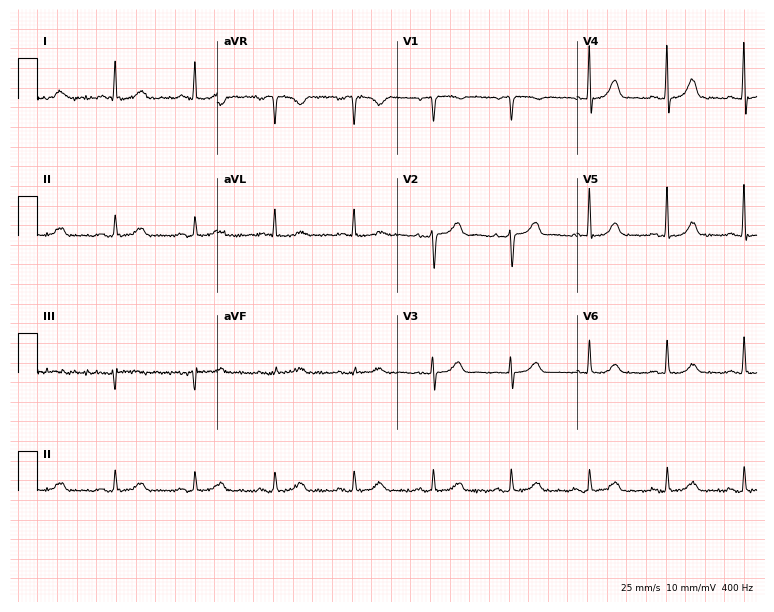
Standard 12-lead ECG recorded from a 71-year-old man (7.3-second recording at 400 Hz). Read as a normal ECG.